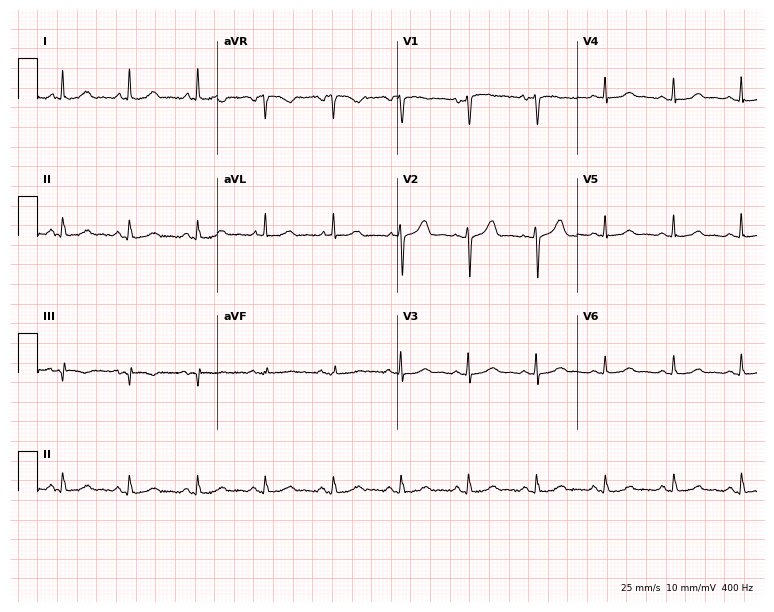
Electrocardiogram (7.3-second recording at 400 Hz), a 69-year-old female. Overall reading on record: normal ECG.